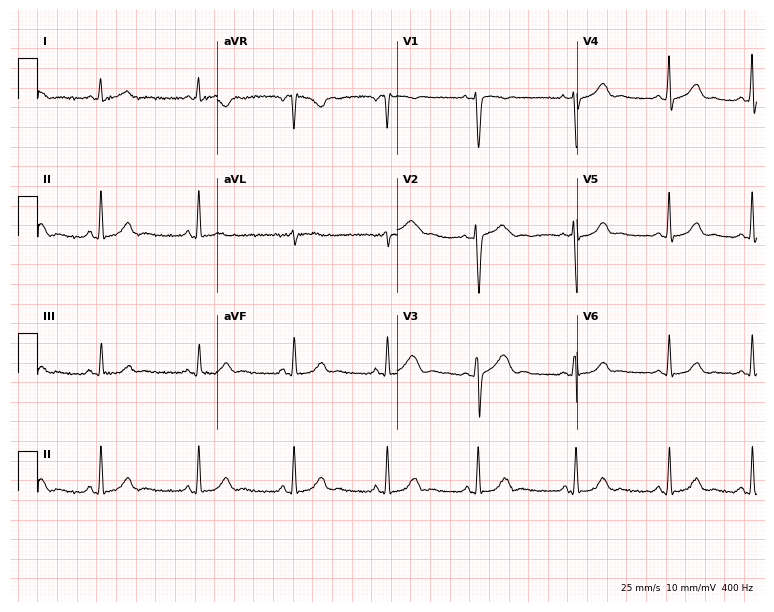
12-lead ECG from a 30-year-old female patient (7.3-second recording at 400 Hz). Recorded interpretation: within normal limits.